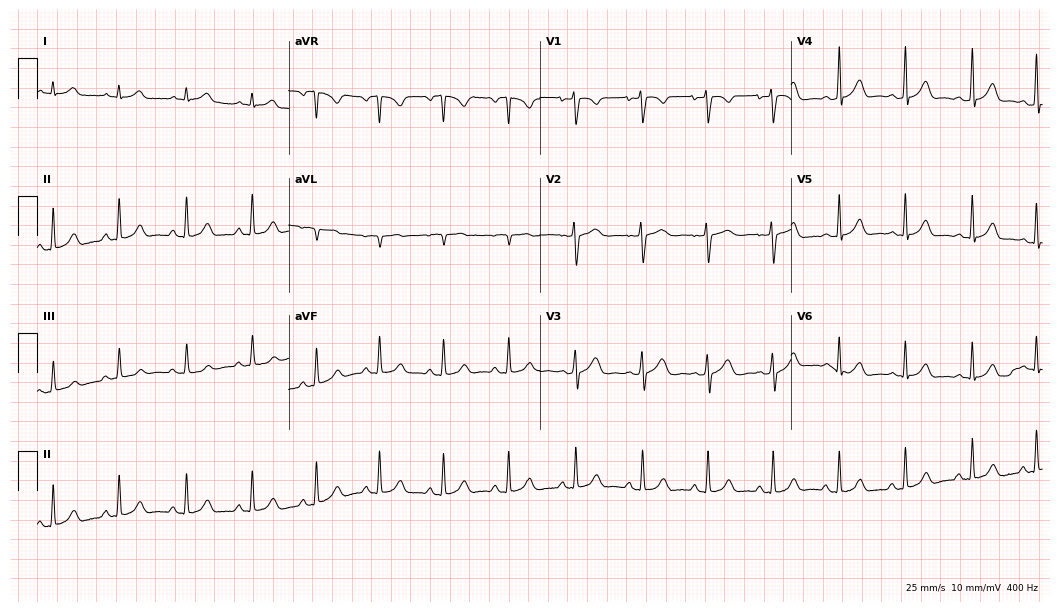
12-lead ECG from a 34-year-old female (10.2-second recording at 400 Hz). Recorded interpretation: within normal limits.